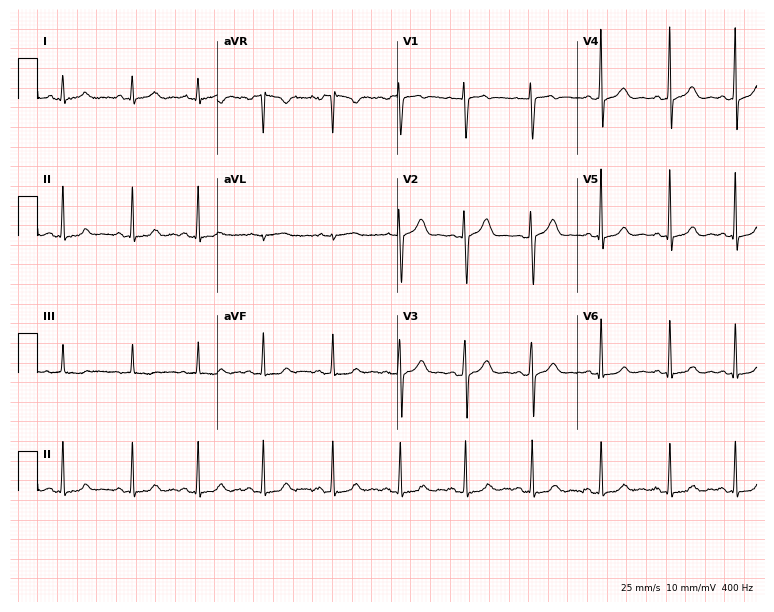
12-lead ECG (7.3-second recording at 400 Hz) from a woman, 26 years old. Screened for six findings — first-degree AV block, right bundle branch block (RBBB), left bundle branch block (LBBB), sinus bradycardia, atrial fibrillation (AF), sinus tachycardia — none is recorded.